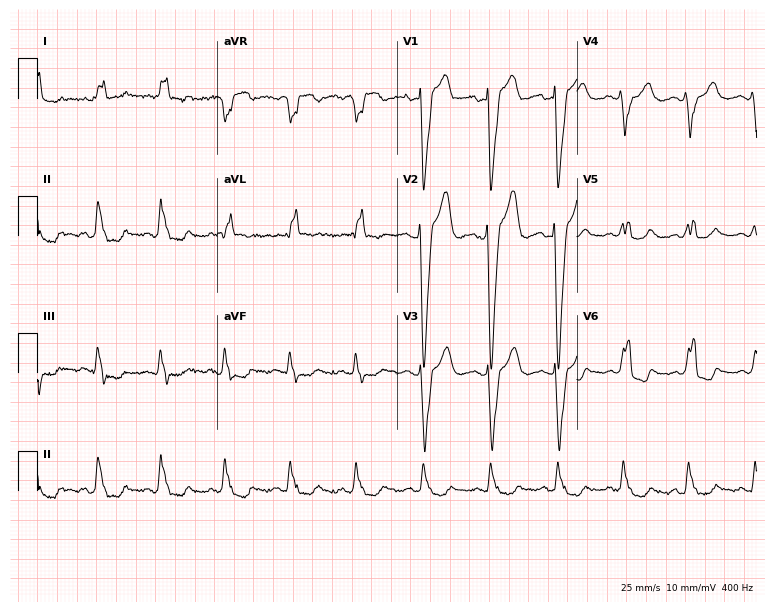
12-lead ECG (7.3-second recording at 400 Hz) from an 84-year-old woman. Findings include left bundle branch block.